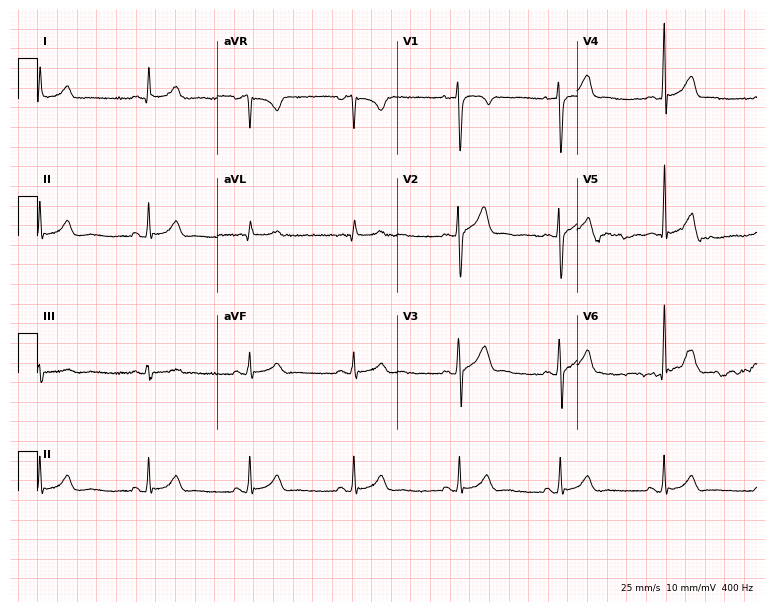
Resting 12-lead electrocardiogram (7.3-second recording at 400 Hz). Patient: a 22-year-old male. Read as a normal ECG.